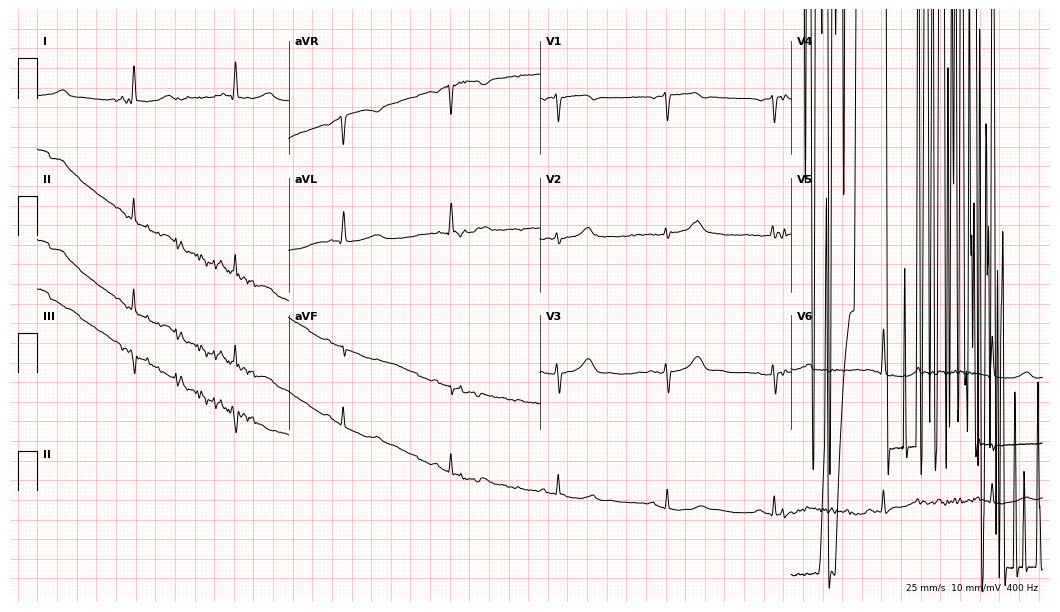
ECG — a 72-year-old female patient. Screened for six findings — first-degree AV block, right bundle branch block, left bundle branch block, sinus bradycardia, atrial fibrillation, sinus tachycardia — none is recorded. Other findings, if any, are not listed.